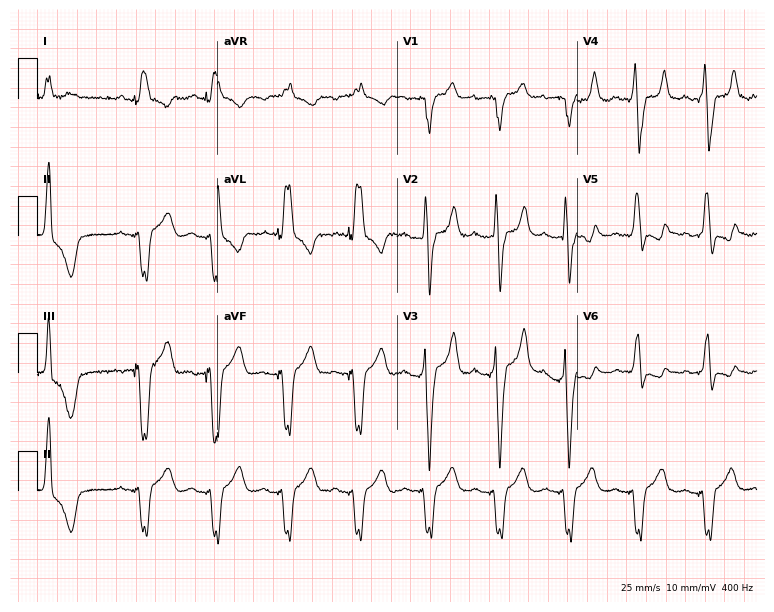
Electrocardiogram, a man, 73 years old. Interpretation includes left bundle branch block (LBBB), atrial fibrillation (AF).